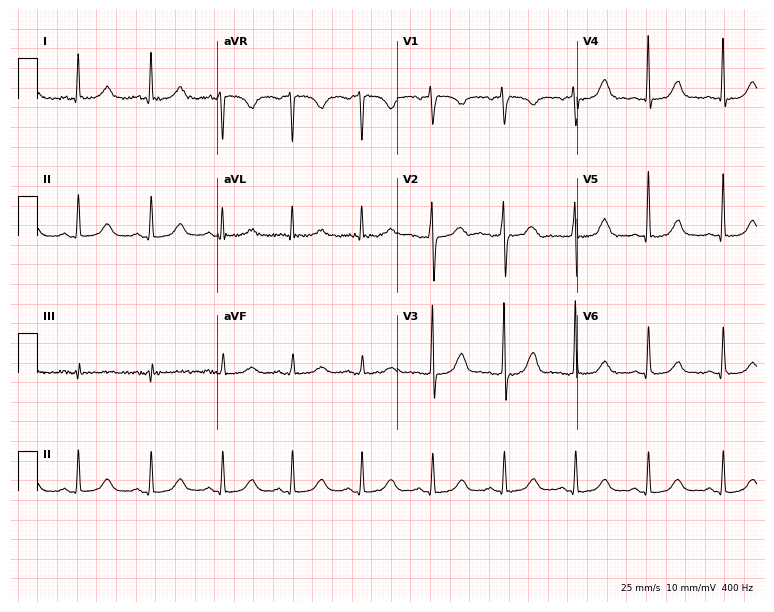
Resting 12-lead electrocardiogram. Patient: a 60-year-old male. Read as a normal ECG.